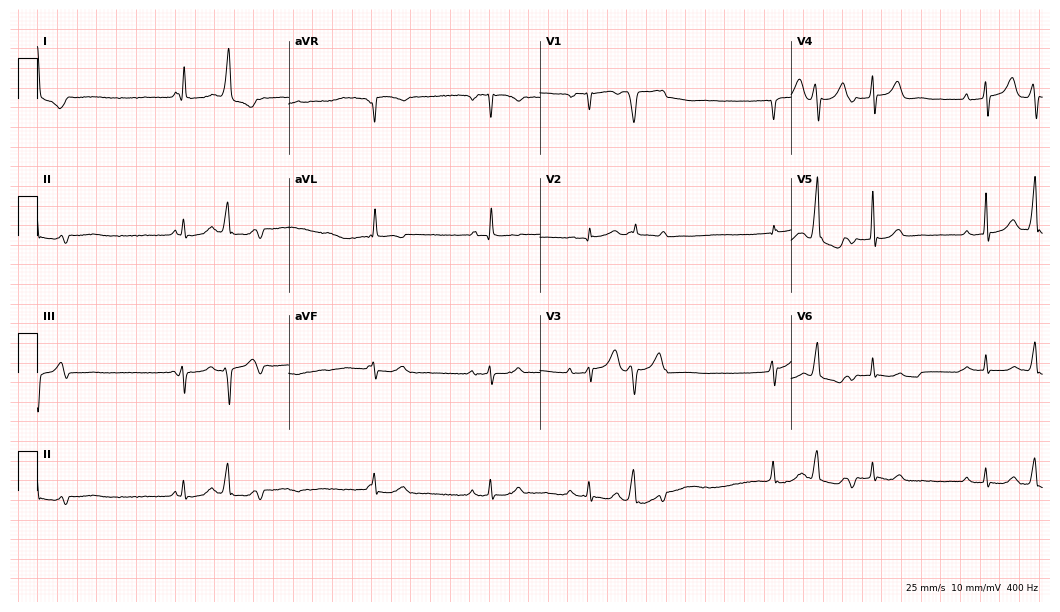
12-lead ECG from a male, 82 years old (10.2-second recording at 400 Hz). No first-degree AV block, right bundle branch block (RBBB), left bundle branch block (LBBB), sinus bradycardia, atrial fibrillation (AF) or sinus tachycardia recorded for this tracing.